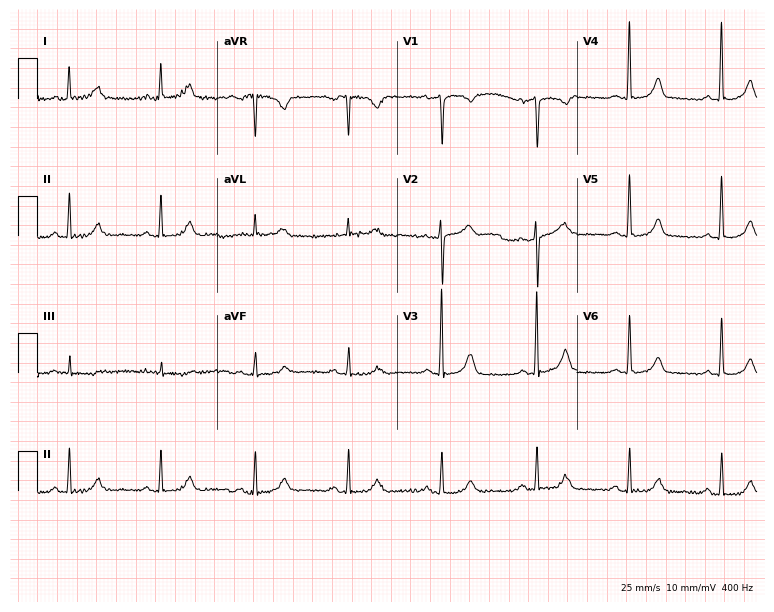
Standard 12-lead ECG recorded from a male, 66 years old (7.3-second recording at 400 Hz). Read as a normal ECG.